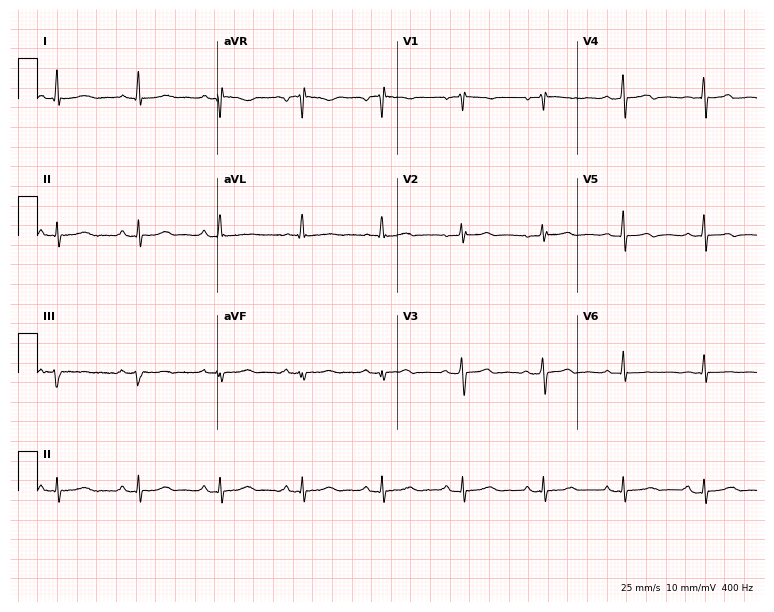
Electrocardiogram (7.3-second recording at 400 Hz), a 71-year-old female patient. Of the six screened findings (first-degree AV block, right bundle branch block, left bundle branch block, sinus bradycardia, atrial fibrillation, sinus tachycardia), none is recorded. Only these six findings were labelled.